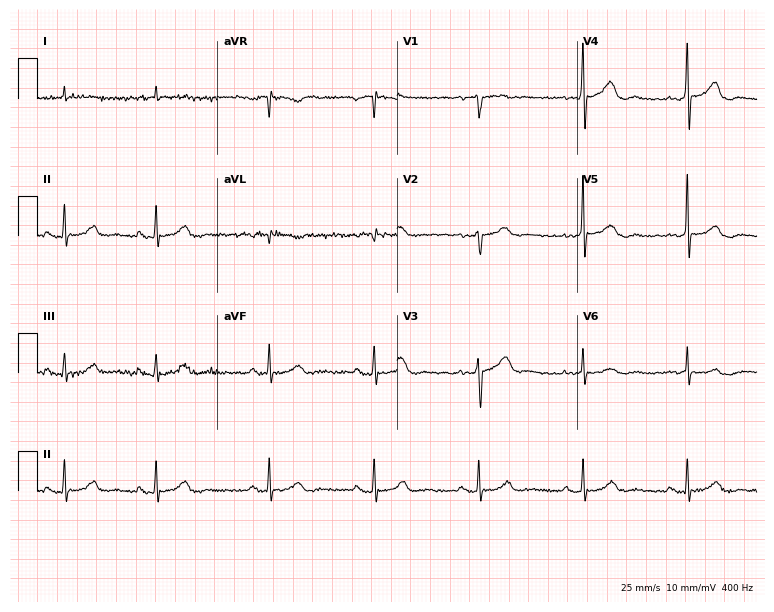
Electrocardiogram (7.3-second recording at 400 Hz), a 78-year-old male patient. Overall reading on record: normal ECG.